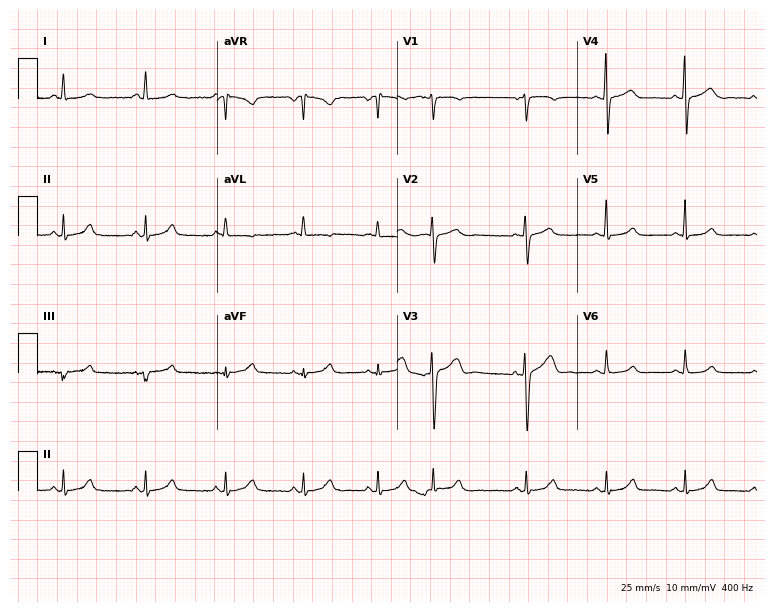
12-lead ECG (7.3-second recording at 400 Hz) from a female, 54 years old. Screened for six findings — first-degree AV block, right bundle branch block (RBBB), left bundle branch block (LBBB), sinus bradycardia, atrial fibrillation (AF), sinus tachycardia — none is recorded. Findings outside these six are not listed.